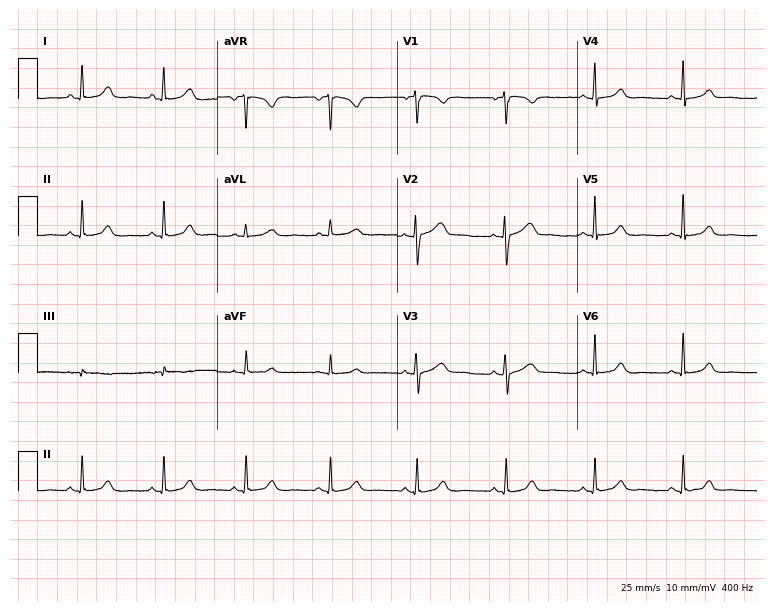
ECG — a female patient, 60 years old. Labelled as a normal ECG.